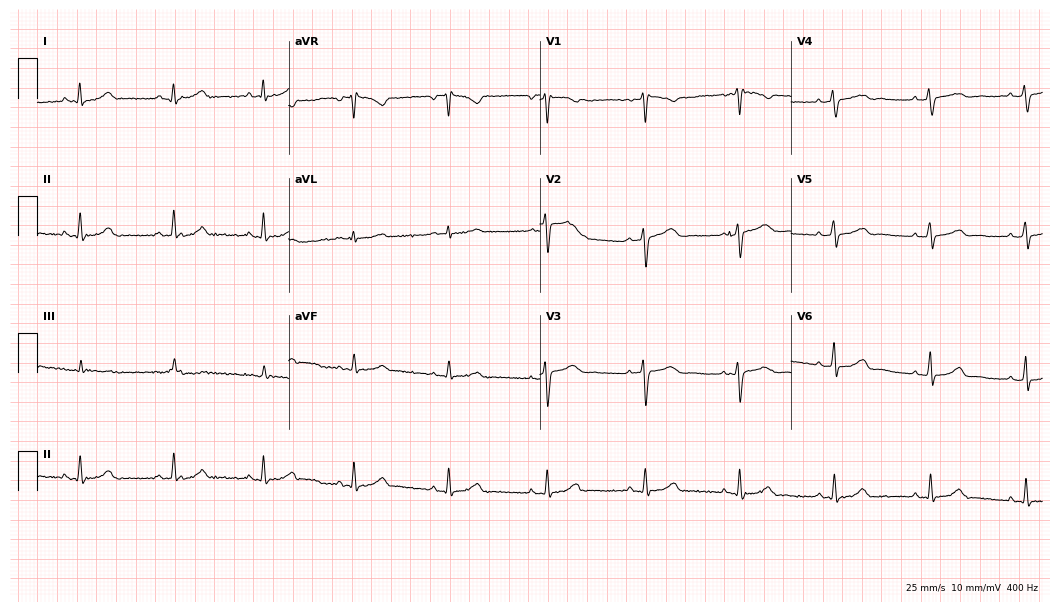
Electrocardiogram (10.2-second recording at 400 Hz), a female patient, 42 years old. Of the six screened findings (first-degree AV block, right bundle branch block (RBBB), left bundle branch block (LBBB), sinus bradycardia, atrial fibrillation (AF), sinus tachycardia), none is recorded. Other findings, if any, are not listed.